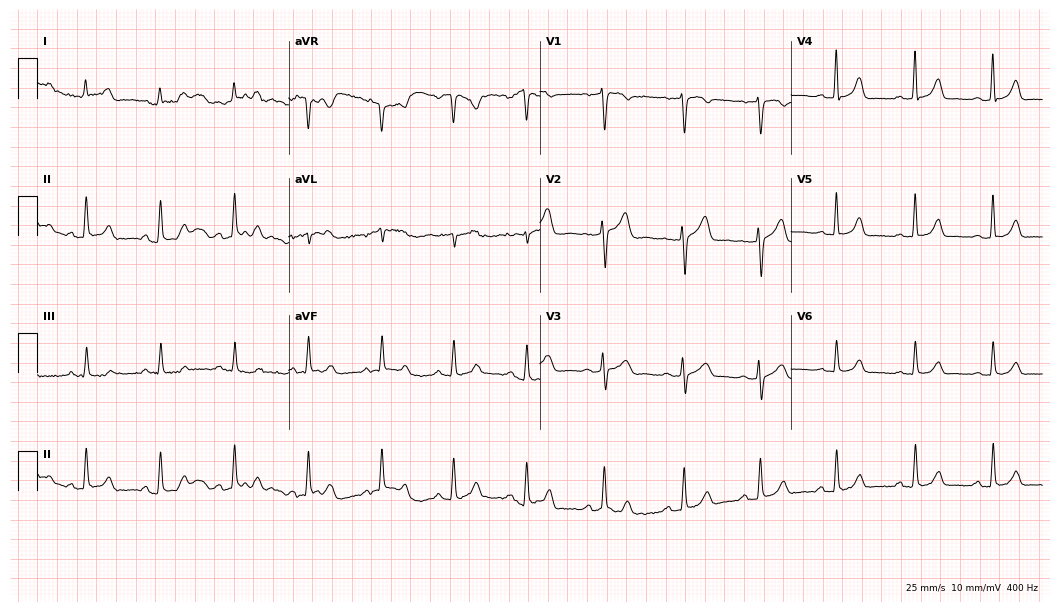
Electrocardiogram (10.2-second recording at 400 Hz), a female patient, 32 years old. Overall reading on record: normal ECG.